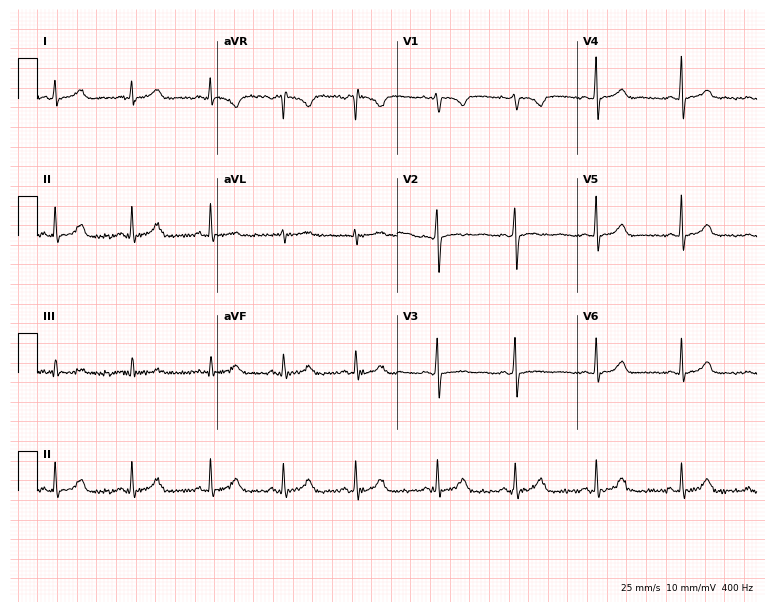
12-lead ECG from a female, 19 years old (7.3-second recording at 400 Hz). Recorded interpretation: within normal limits.